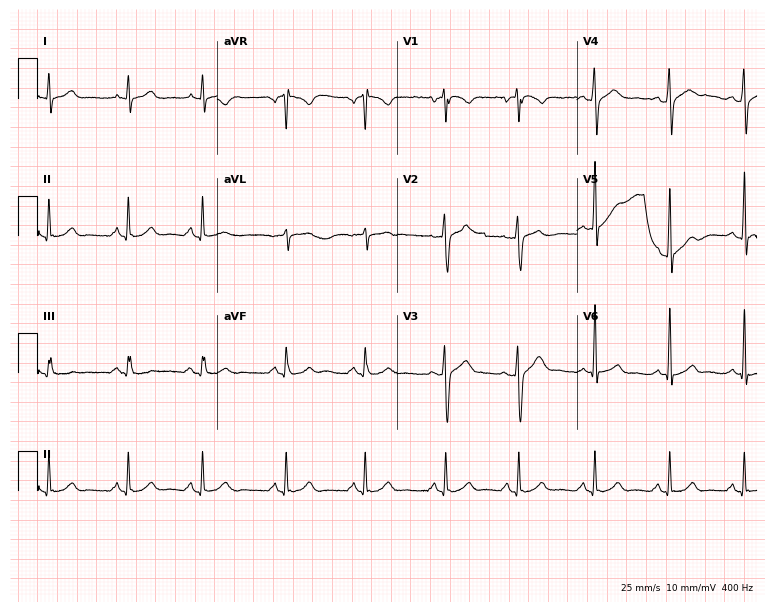
Resting 12-lead electrocardiogram. Patient: a 39-year-old male. Read as a normal ECG.